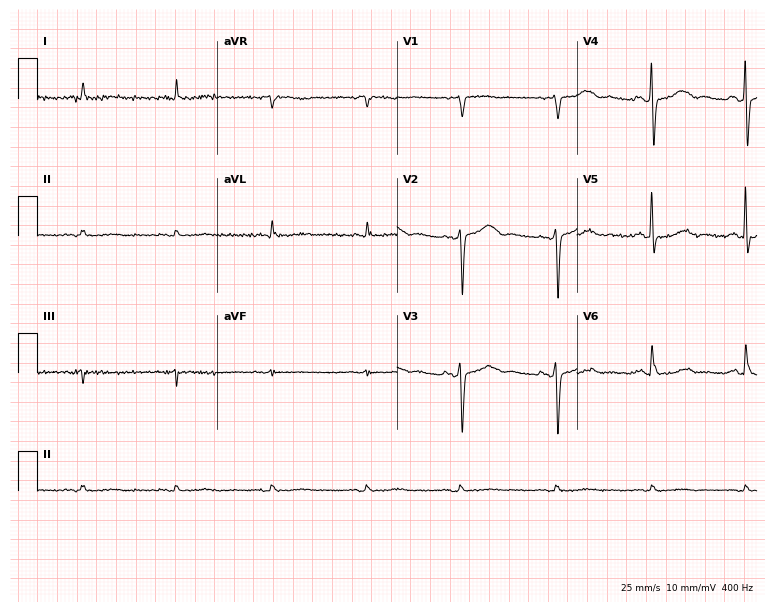
12-lead ECG from an 83-year-old female. No first-degree AV block, right bundle branch block, left bundle branch block, sinus bradycardia, atrial fibrillation or sinus tachycardia recorded for this tracing.